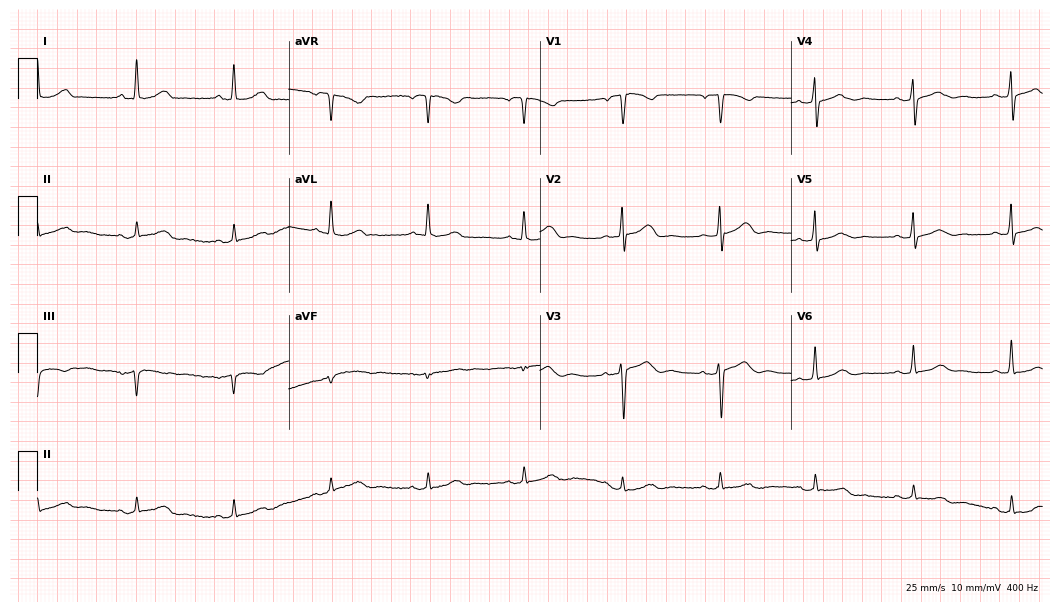
Resting 12-lead electrocardiogram. Patient: a woman, 62 years old. None of these six findings is recorded: first-degree AV block, right bundle branch block (RBBB), left bundle branch block (LBBB), sinus bradycardia, atrial fibrillation (AF), sinus tachycardia.